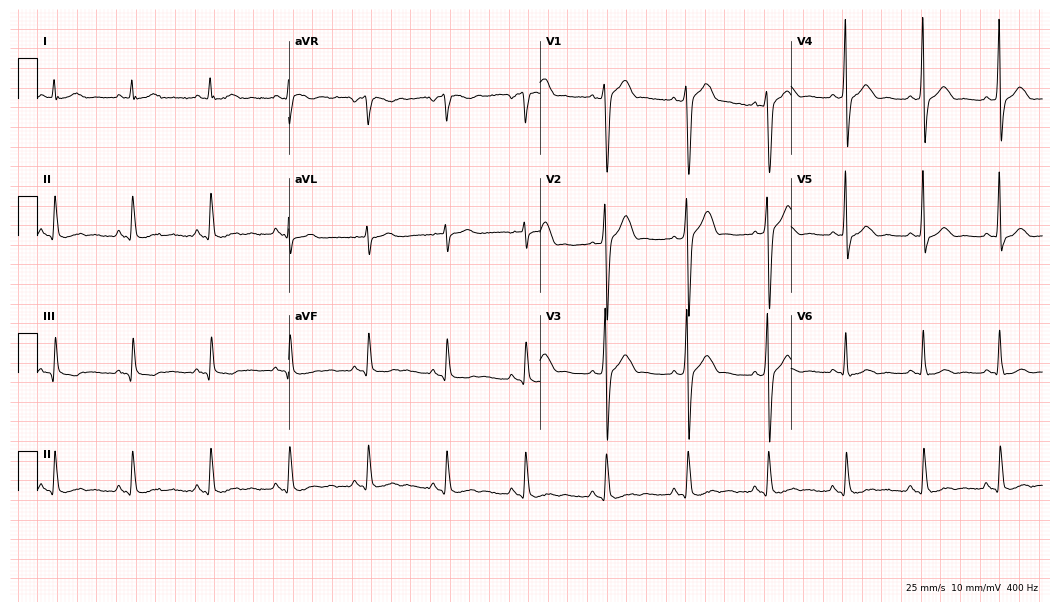
ECG (10.2-second recording at 400 Hz) — a male patient, 36 years old. Screened for six findings — first-degree AV block, right bundle branch block (RBBB), left bundle branch block (LBBB), sinus bradycardia, atrial fibrillation (AF), sinus tachycardia — none is recorded. Findings outside these six are not listed.